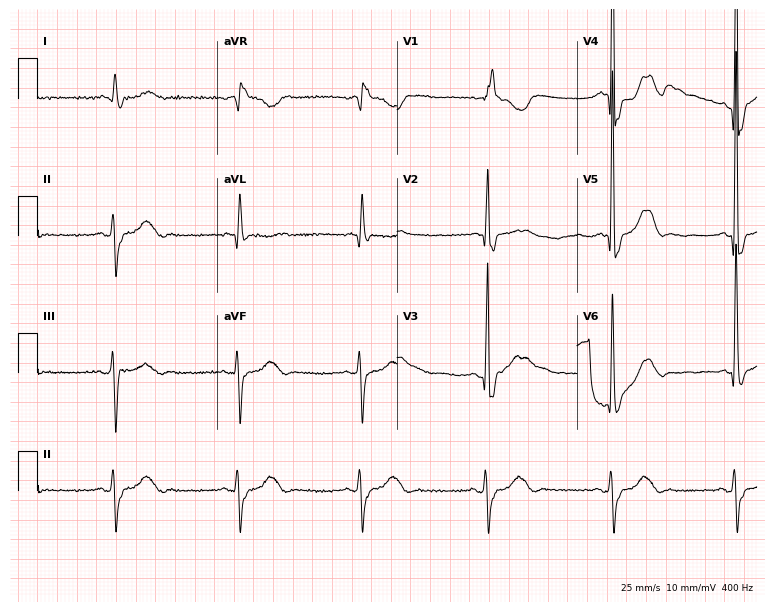
Standard 12-lead ECG recorded from an 83-year-old male patient (7.3-second recording at 400 Hz). The tracing shows right bundle branch block (RBBB), sinus bradycardia (a sinus rate of 50 beats per minute or less).